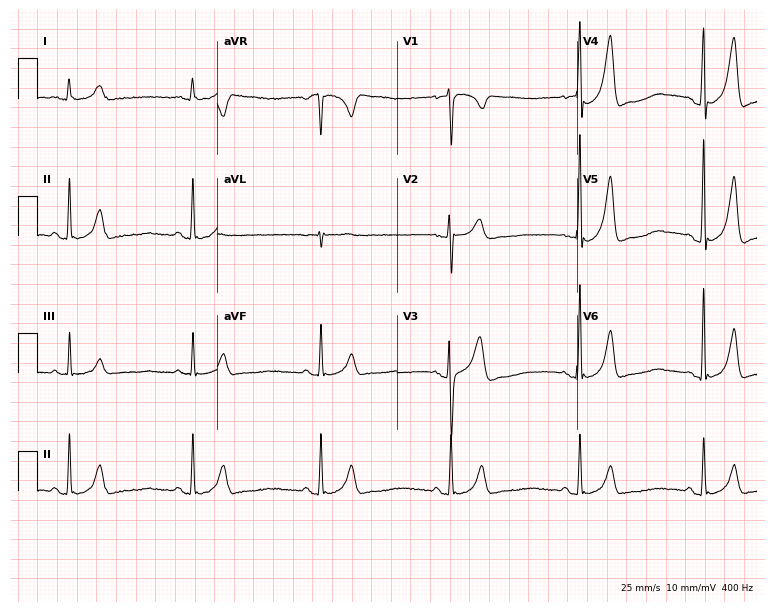
ECG — a male patient, 34 years old. Screened for six findings — first-degree AV block, right bundle branch block (RBBB), left bundle branch block (LBBB), sinus bradycardia, atrial fibrillation (AF), sinus tachycardia — none is recorded.